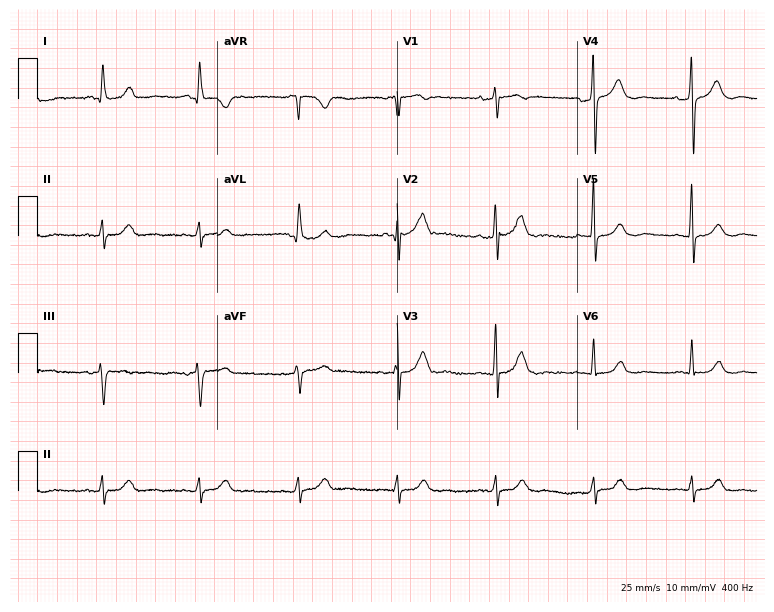
12-lead ECG (7.3-second recording at 400 Hz) from a female patient, 69 years old. Labelled as a normal ECG.